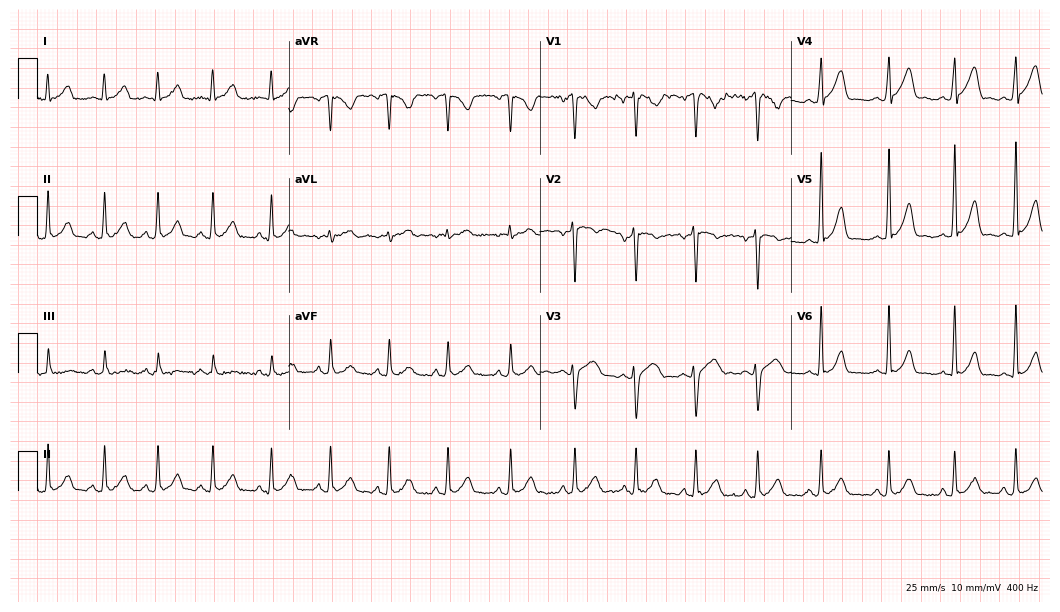
12-lead ECG from a man, 30 years old. No first-degree AV block, right bundle branch block, left bundle branch block, sinus bradycardia, atrial fibrillation or sinus tachycardia recorded for this tracing.